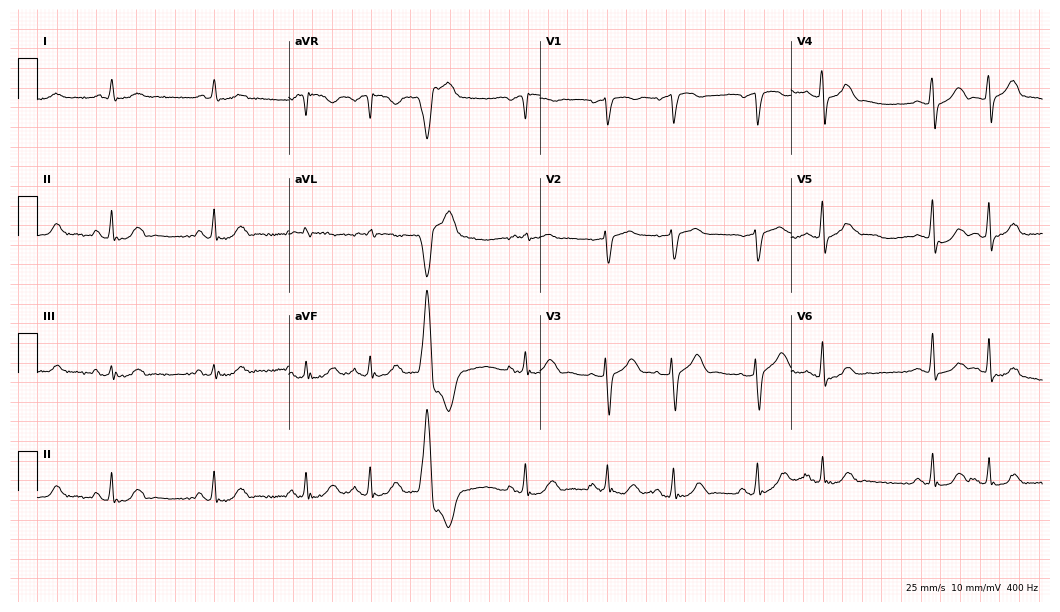
Resting 12-lead electrocardiogram. Patient: a male, 84 years old. None of these six findings is recorded: first-degree AV block, right bundle branch block, left bundle branch block, sinus bradycardia, atrial fibrillation, sinus tachycardia.